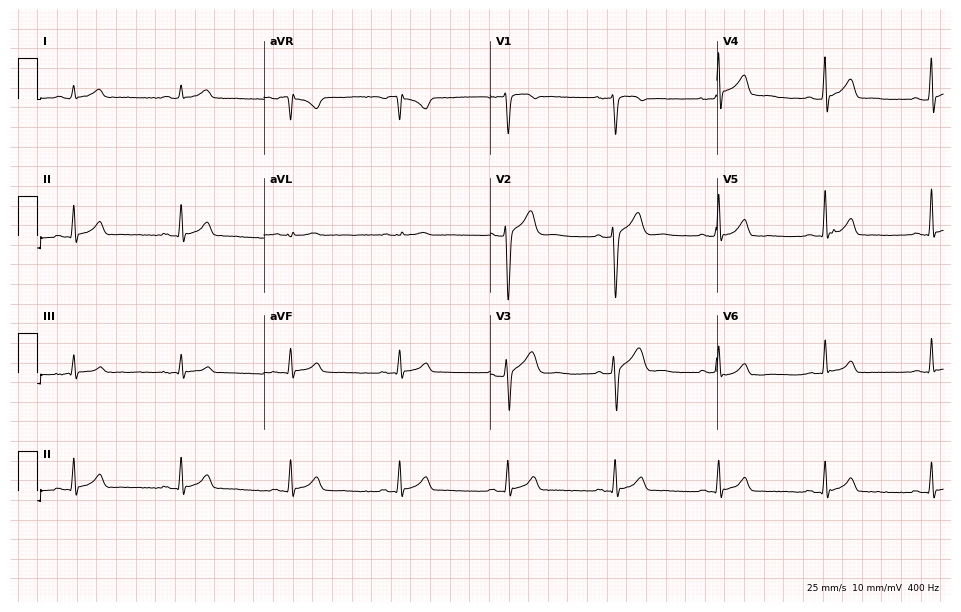
Electrocardiogram, a 38-year-old male patient. Overall reading on record: normal ECG.